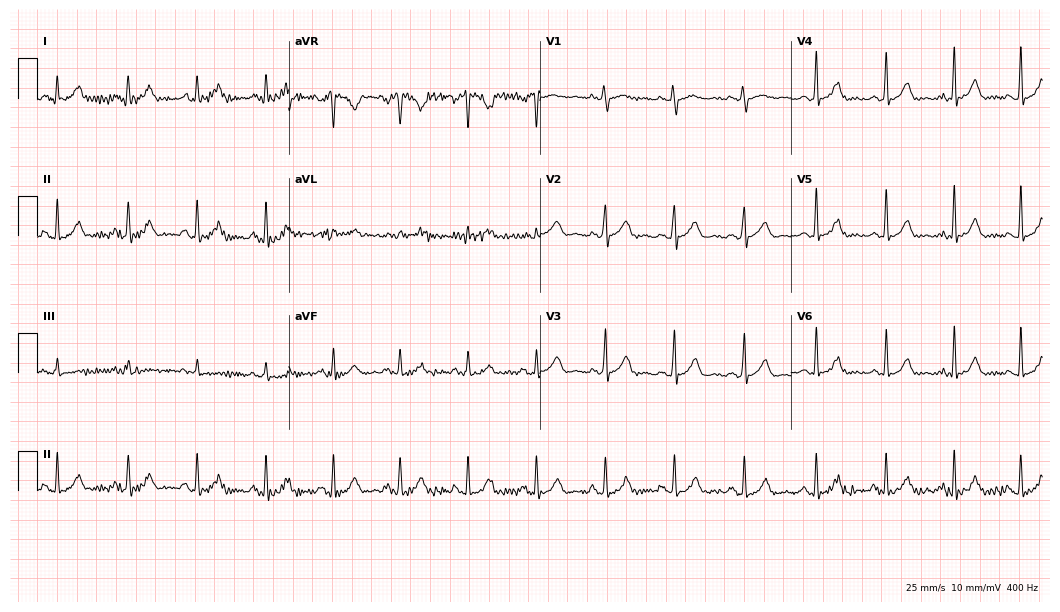
Electrocardiogram, a female patient, 23 years old. Of the six screened findings (first-degree AV block, right bundle branch block, left bundle branch block, sinus bradycardia, atrial fibrillation, sinus tachycardia), none is recorded. Findings outside these six are not listed.